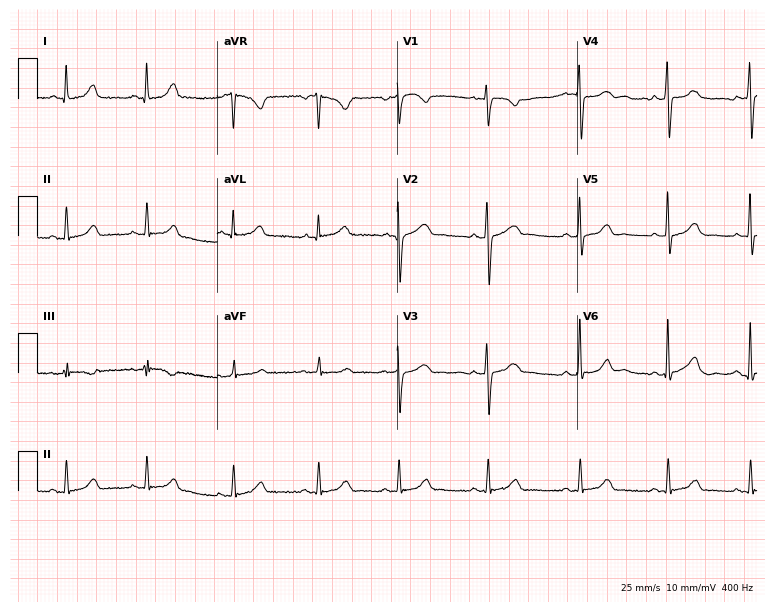
Resting 12-lead electrocardiogram. Patient: a 26-year-old female. Read as a normal ECG.